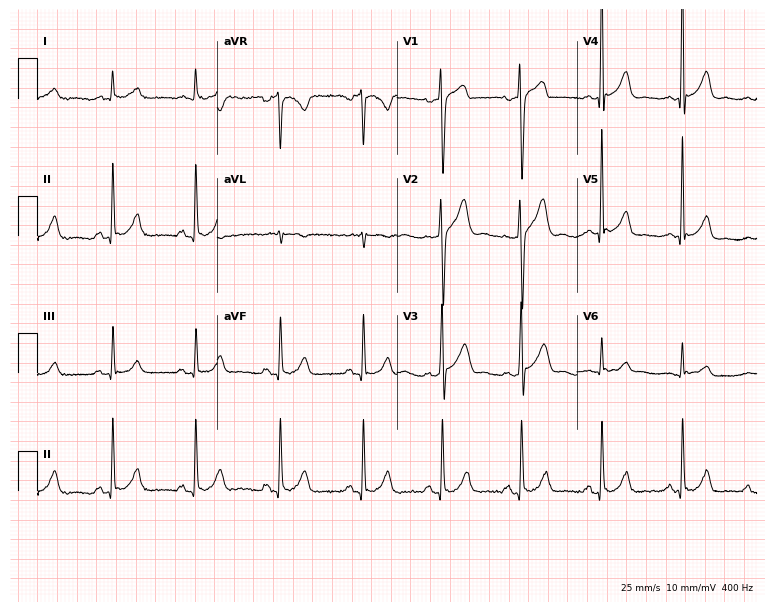
12-lead ECG from a 54-year-old male patient (7.3-second recording at 400 Hz). Recorded interpretation: within normal limits.